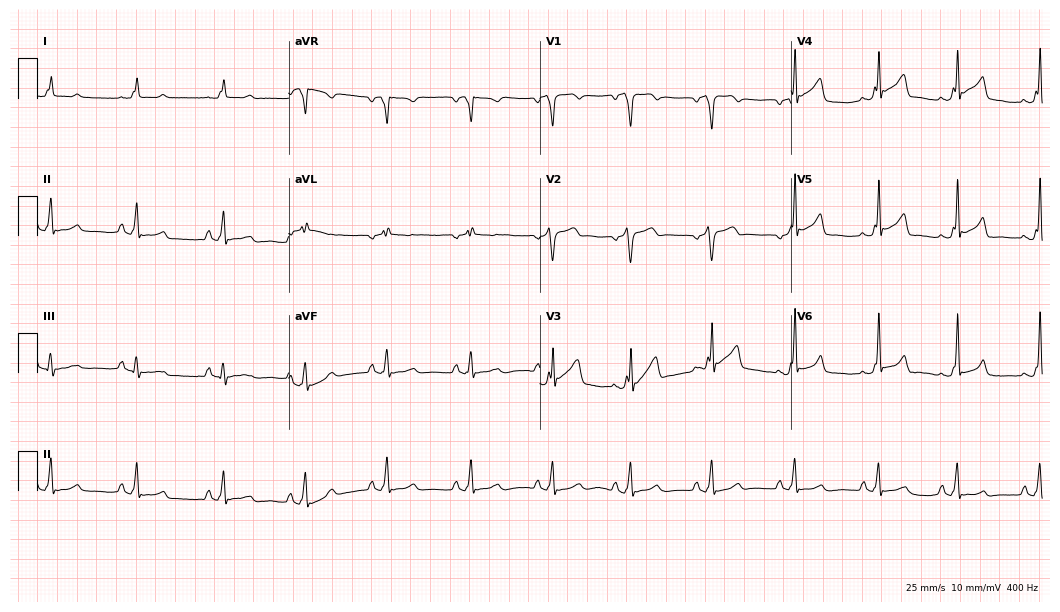
Standard 12-lead ECG recorded from a man, 59 years old. None of these six findings is recorded: first-degree AV block, right bundle branch block (RBBB), left bundle branch block (LBBB), sinus bradycardia, atrial fibrillation (AF), sinus tachycardia. Other findings, if any, are not listed.